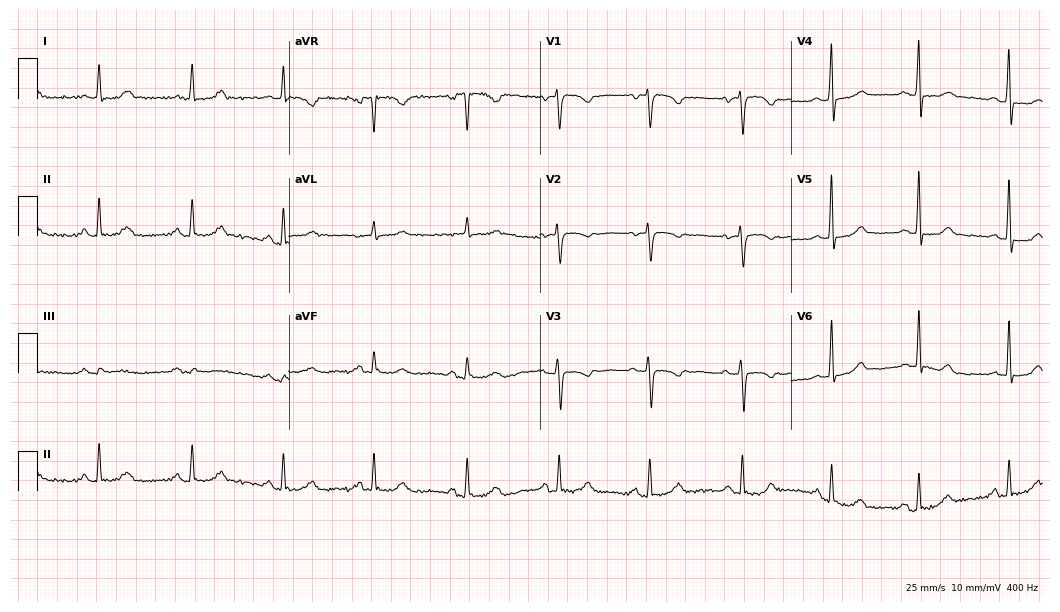
12-lead ECG from a 65-year-old woman (10.2-second recording at 400 Hz). No first-degree AV block, right bundle branch block, left bundle branch block, sinus bradycardia, atrial fibrillation or sinus tachycardia recorded for this tracing. Only these six findings were labelled.